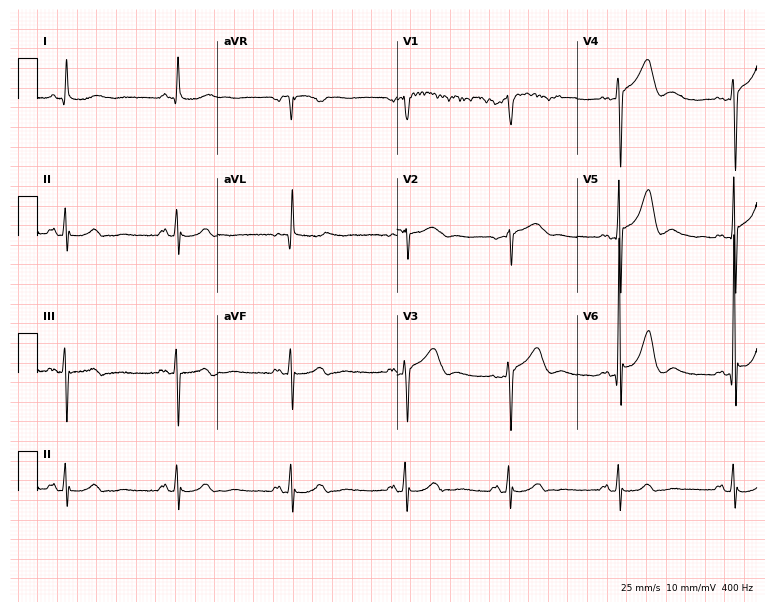
12-lead ECG (7.3-second recording at 400 Hz) from a 75-year-old male patient. Screened for six findings — first-degree AV block, right bundle branch block, left bundle branch block, sinus bradycardia, atrial fibrillation, sinus tachycardia — none is recorded.